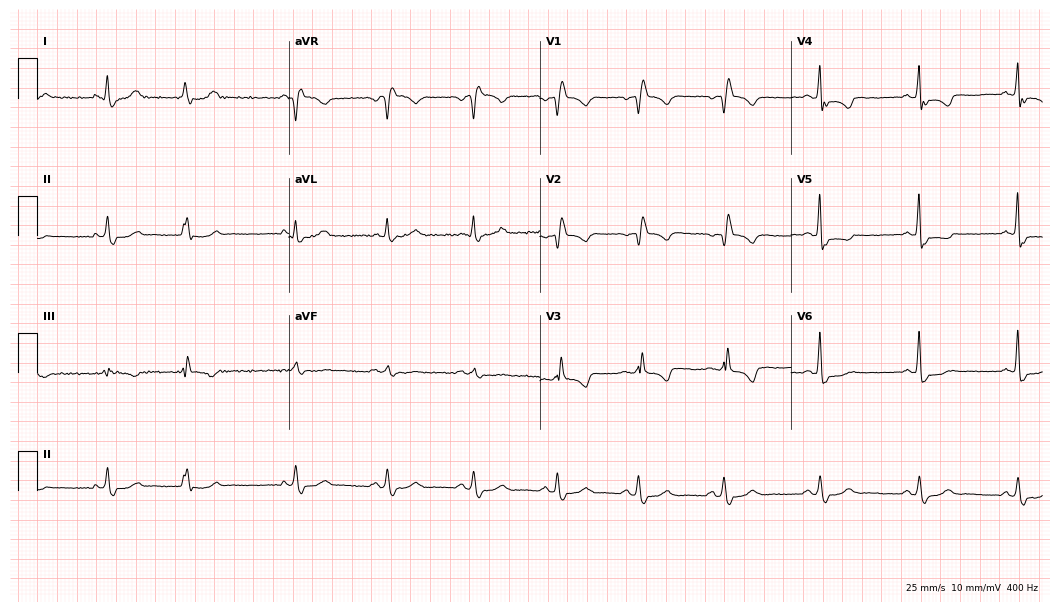
12-lead ECG (10.2-second recording at 400 Hz) from a female, 50 years old. Findings include first-degree AV block, right bundle branch block.